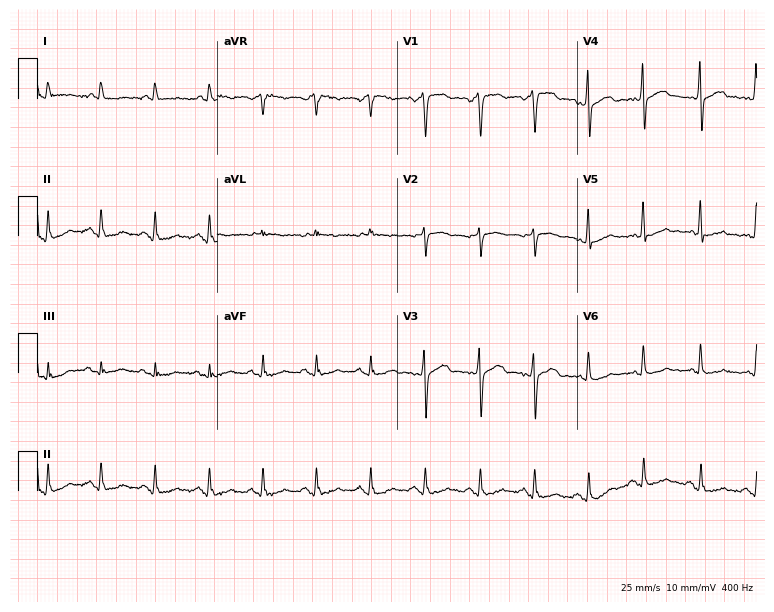
ECG (7.3-second recording at 400 Hz) — a 62-year-old male patient. Findings include sinus tachycardia (a sinus rate of 100 beats per minute or more).